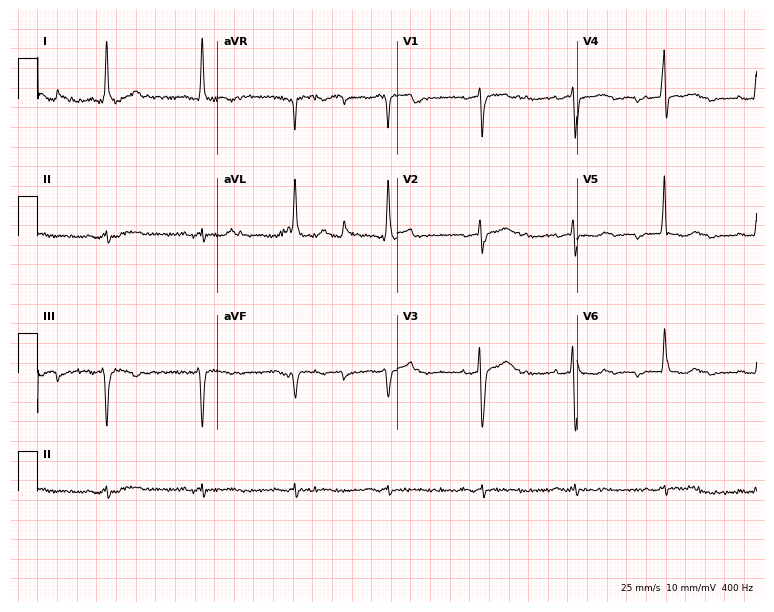
12-lead ECG from a woman, 81 years old. No first-degree AV block, right bundle branch block, left bundle branch block, sinus bradycardia, atrial fibrillation or sinus tachycardia recorded for this tracing. Findings outside these six are not listed.